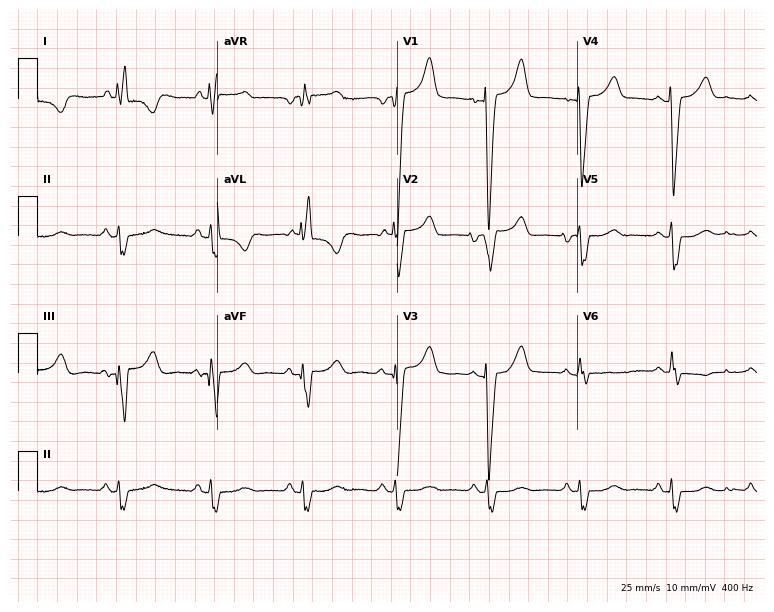
Resting 12-lead electrocardiogram (7.3-second recording at 400 Hz). Patient: an 81-year-old female. None of these six findings is recorded: first-degree AV block, right bundle branch block (RBBB), left bundle branch block (LBBB), sinus bradycardia, atrial fibrillation (AF), sinus tachycardia.